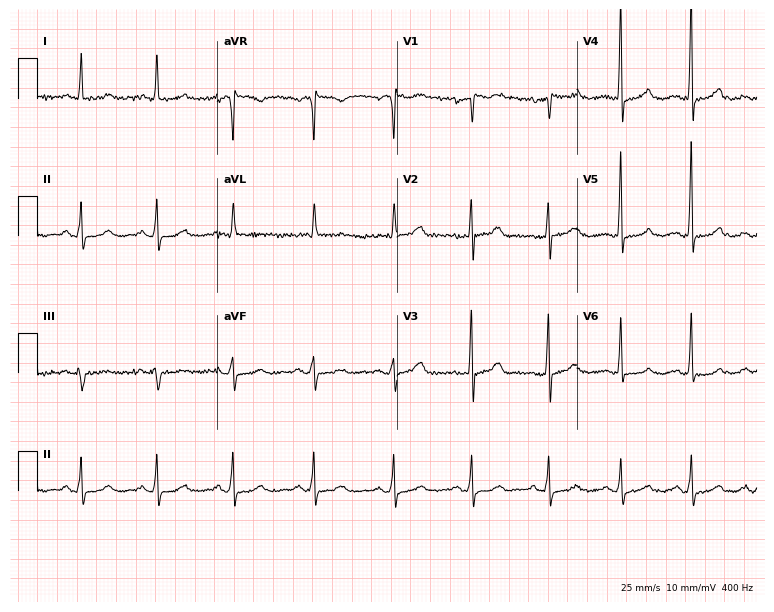
12-lead ECG from a female patient, 36 years old. Labelled as a normal ECG.